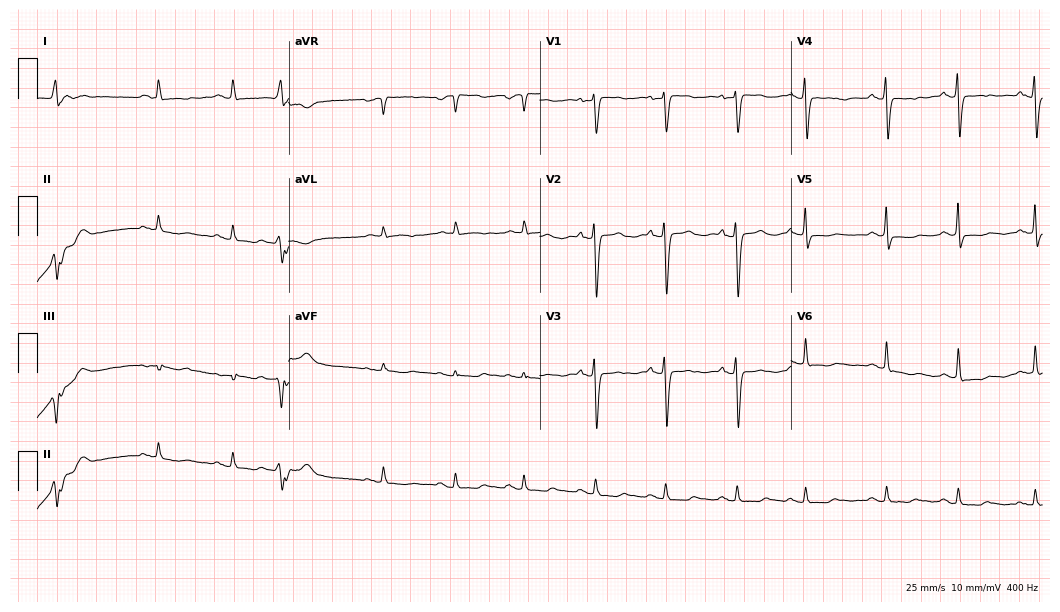
ECG (10.2-second recording at 400 Hz) — a woman, 72 years old. Screened for six findings — first-degree AV block, right bundle branch block, left bundle branch block, sinus bradycardia, atrial fibrillation, sinus tachycardia — none is recorded. Findings outside these six are not listed.